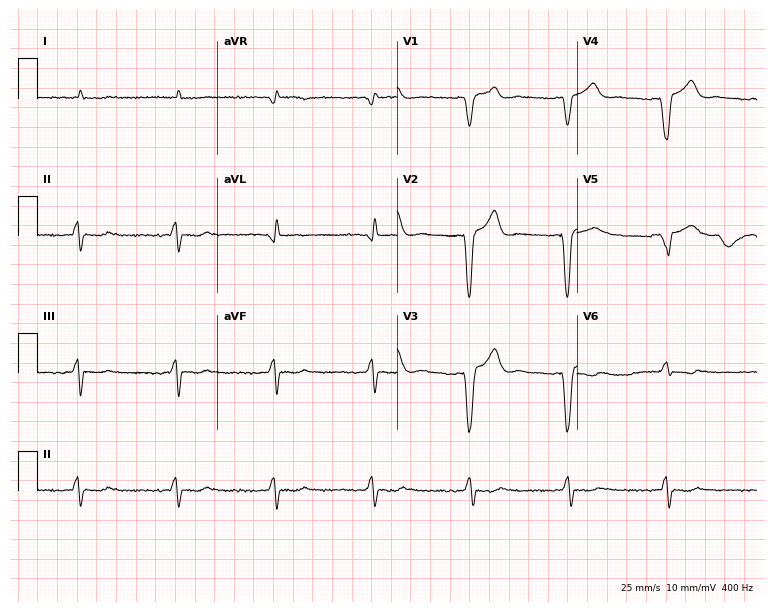
Resting 12-lead electrocardiogram (7.3-second recording at 400 Hz). Patient: a male, 78 years old. The tracing shows left bundle branch block (LBBB).